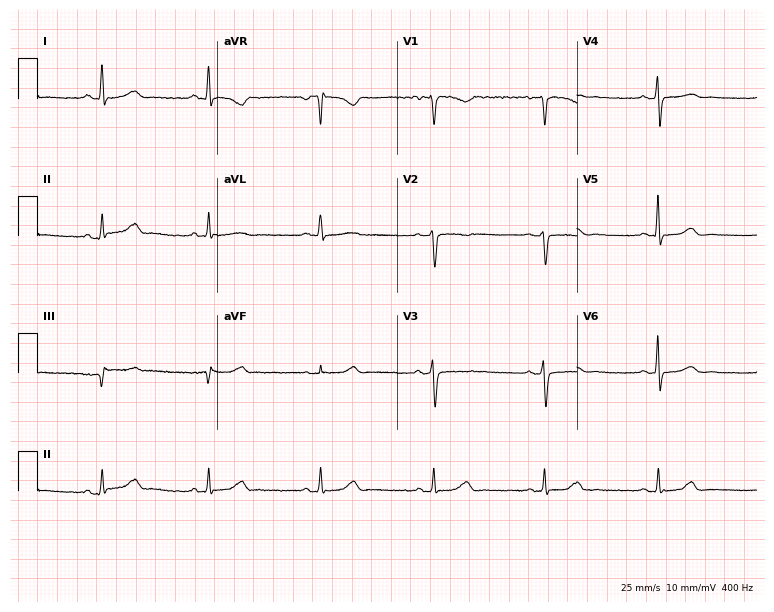
Standard 12-lead ECG recorded from a 47-year-old woman (7.3-second recording at 400 Hz). Read as a normal ECG.